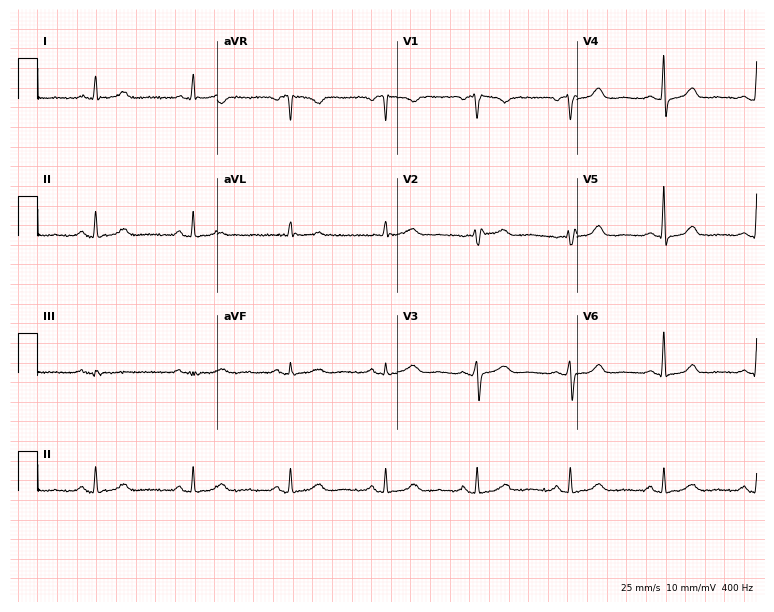
Standard 12-lead ECG recorded from a 67-year-old female. Read as a normal ECG.